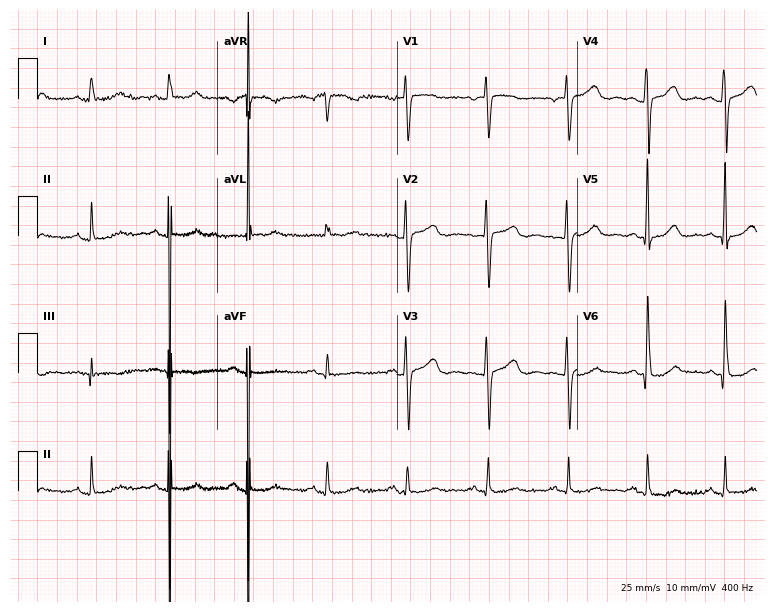
Resting 12-lead electrocardiogram. Patient: a woman, 56 years old. None of these six findings is recorded: first-degree AV block, right bundle branch block, left bundle branch block, sinus bradycardia, atrial fibrillation, sinus tachycardia. Only these six findings were labelled.